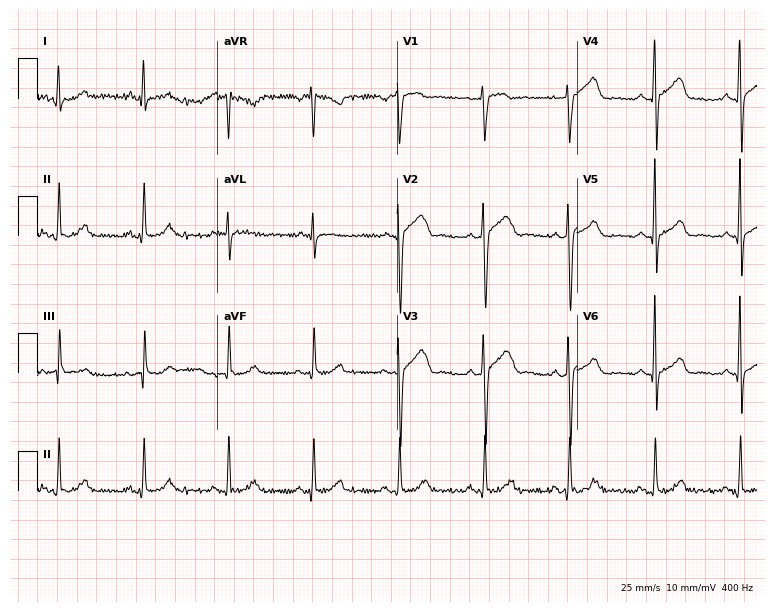
Electrocardiogram, a 42-year-old female patient. Overall reading on record: normal ECG.